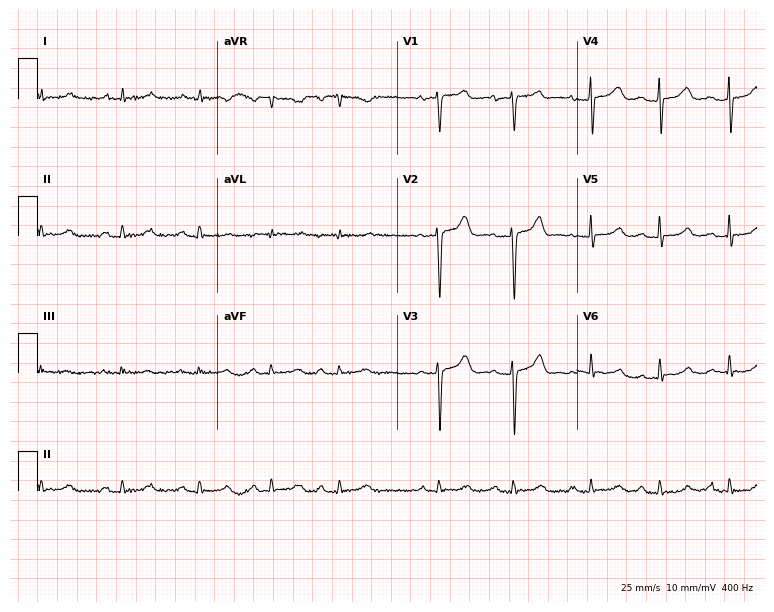
Electrocardiogram (7.3-second recording at 400 Hz), a 65-year-old female. Overall reading on record: normal ECG.